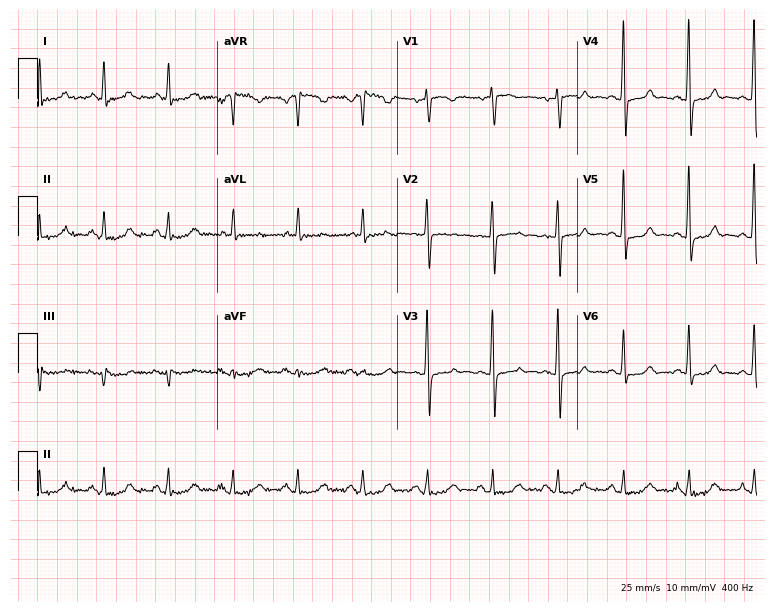
ECG — a female patient, 71 years old. Screened for six findings — first-degree AV block, right bundle branch block, left bundle branch block, sinus bradycardia, atrial fibrillation, sinus tachycardia — none is recorded.